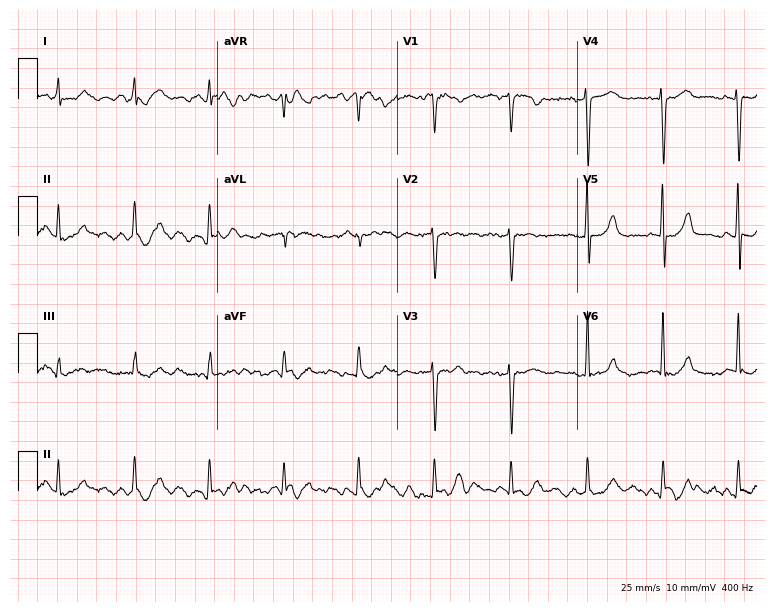
Resting 12-lead electrocardiogram (7.3-second recording at 400 Hz). Patient: a 65-year-old female. Read as a normal ECG.